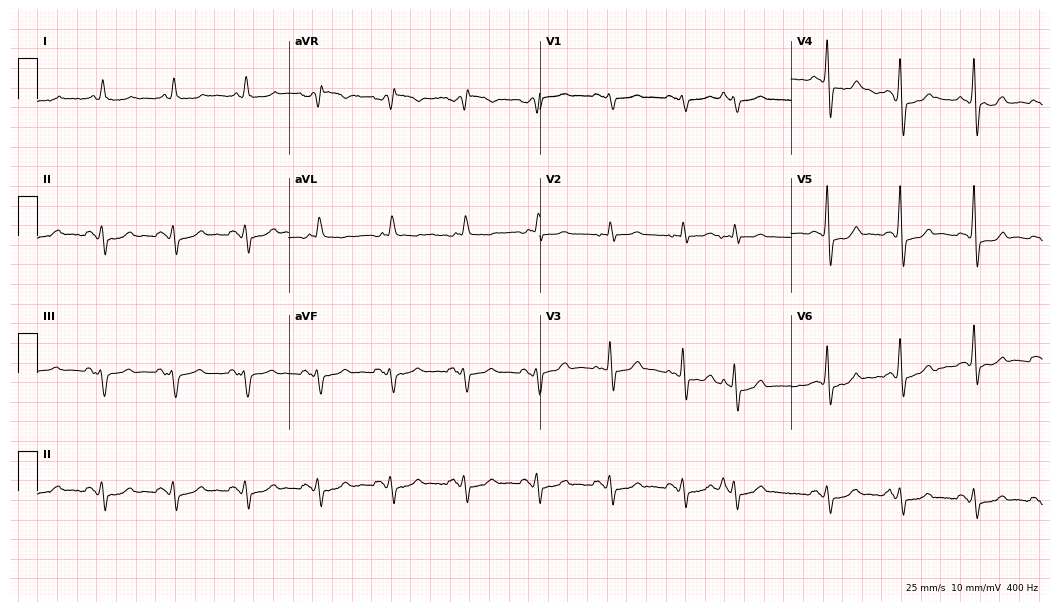
12-lead ECG from an 84-year-old male patient (10.2-second recording at 400 Hz). No first-degree AV block, right bundle branch block, left bundle branch block, sinus bradycardia, atrial fibrillation or sinus tachycardia recorded for this tracing.